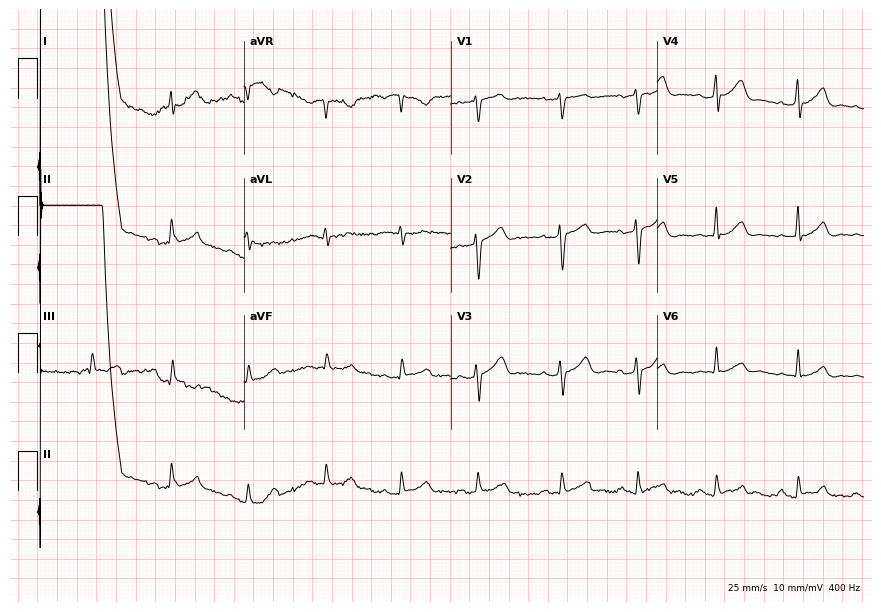
Resting 12-lead electrocardiogram (8.4-second recording at 400 Hz). Patient: a man, 22 years old. None of these six findings is recorded: first-degree AV block, right bundle branch block, left bundle branch block, sinus bradycardia, atrial fibrillation, sinus tachycardia.